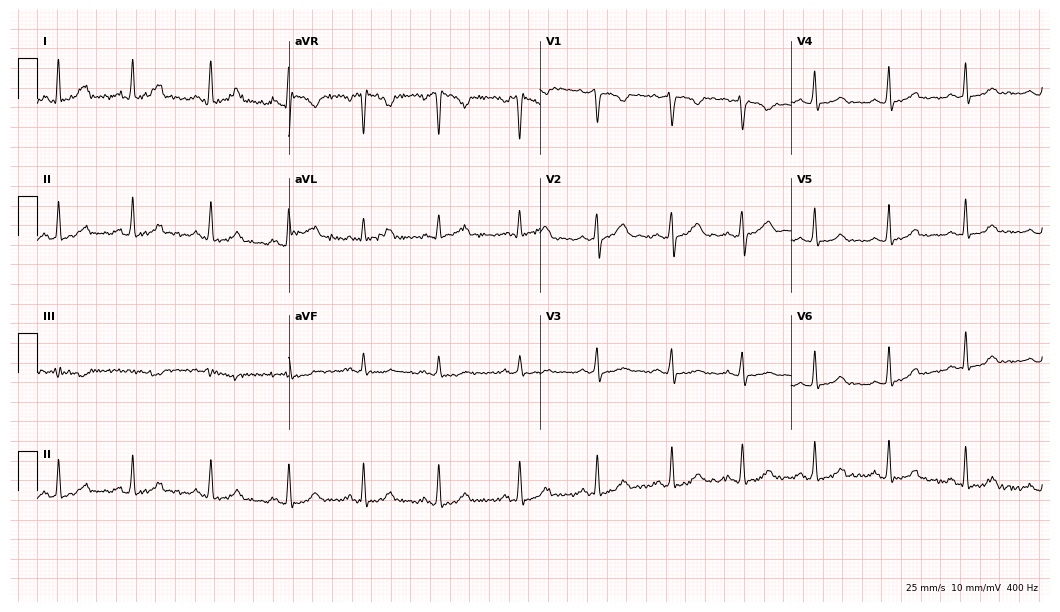
12-lead ECG from a 31-year-old woman (10.2-second recording at 400 Hz). Recorded interpretation: within normal limits.